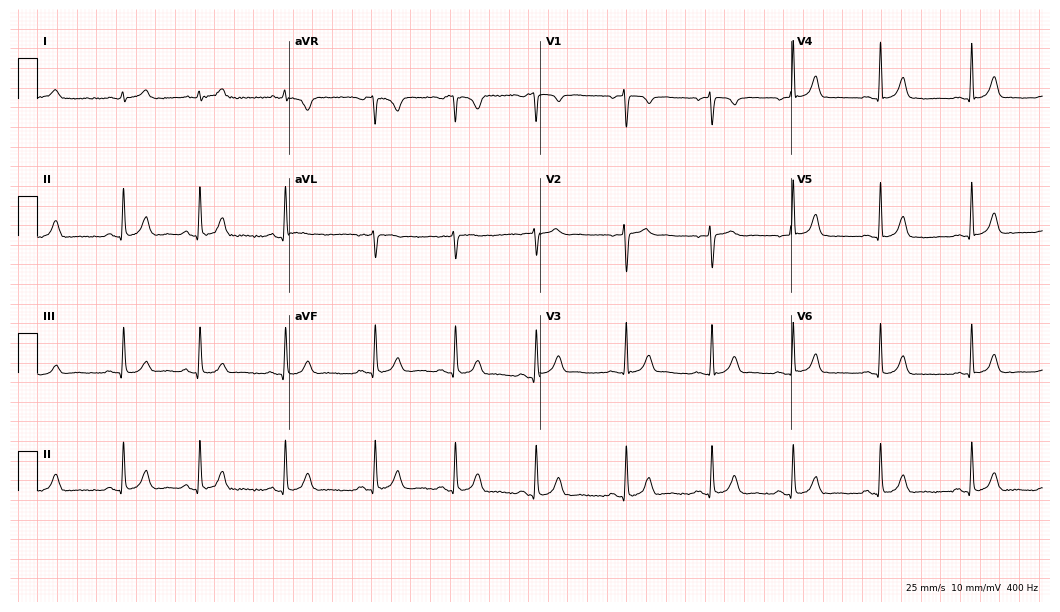
12-lead ECG from a woman, 24 years old. Recorded interpretation: within normal limits.